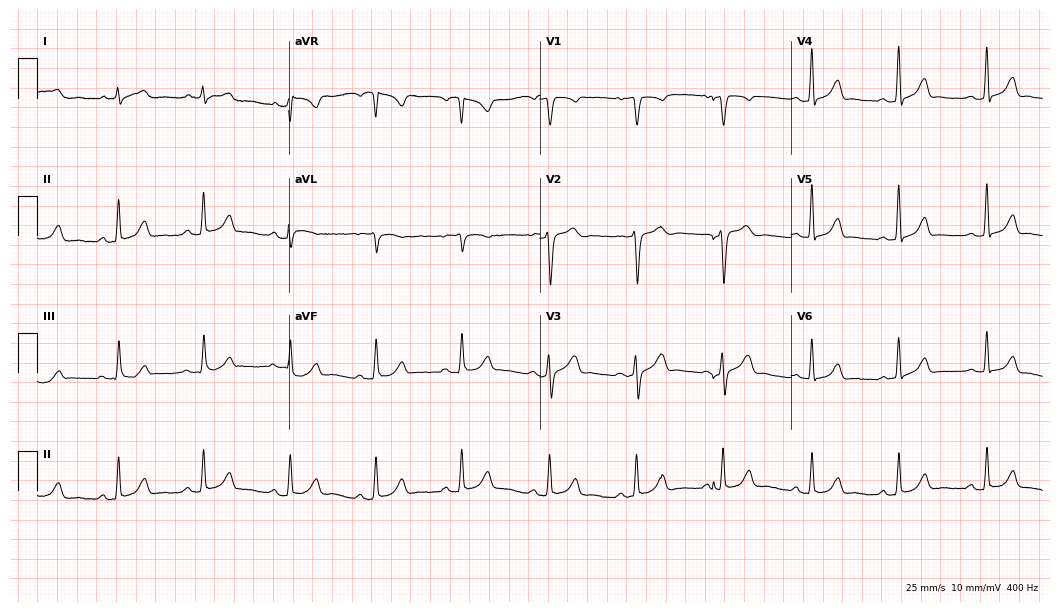
12-lead ECG from a 46-year-old male. Labelled as a normal ECG.